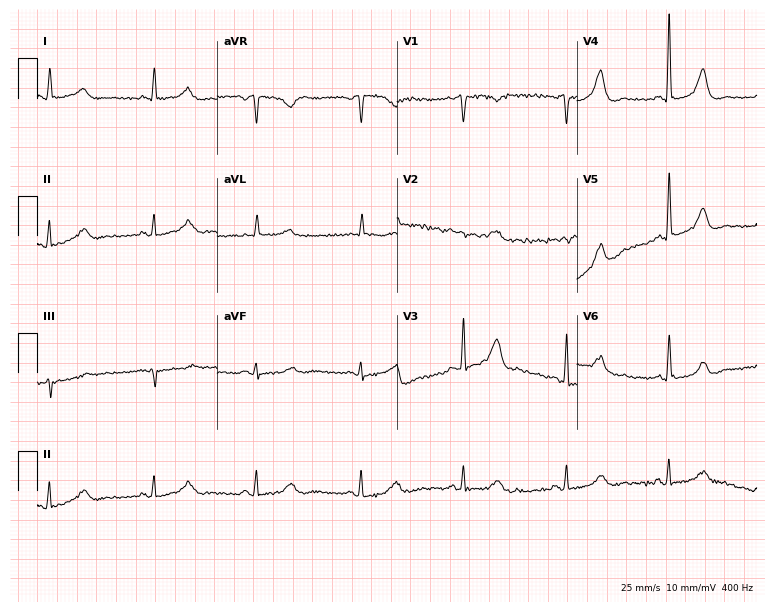
12-lead ECG from an 81-year-old woman. Screened for six findings — first-degree AV block, right bundle branch block, left bundle branch block, sinus bradycardia, atrial fibrillation, sinus tachycardia — none is recorded.